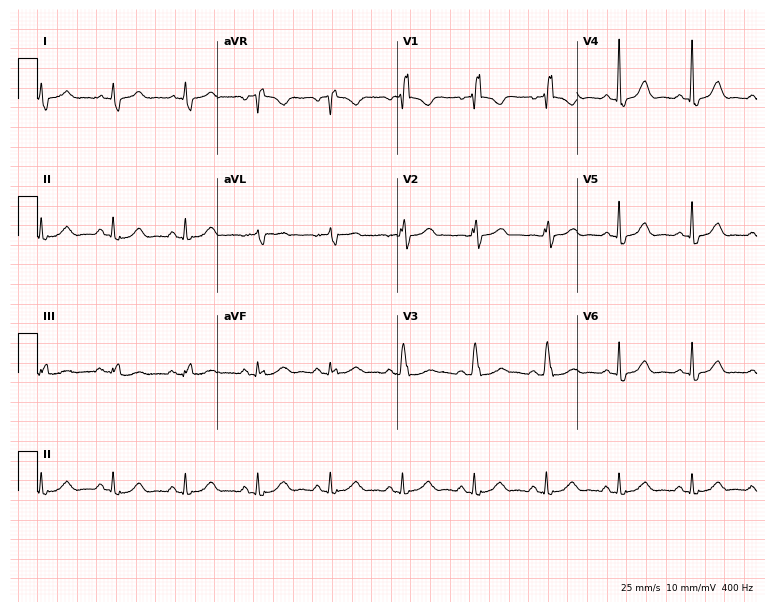
12-lead ECG (7.3-second recording at 400 Hz) from a 63-year-old woman. Screened for six findings — first-degree AV block, right bundle branch block, left bundle branch block, sinus bradycardia, atrial fibrillation, sinus tachycardia — none is recorded.